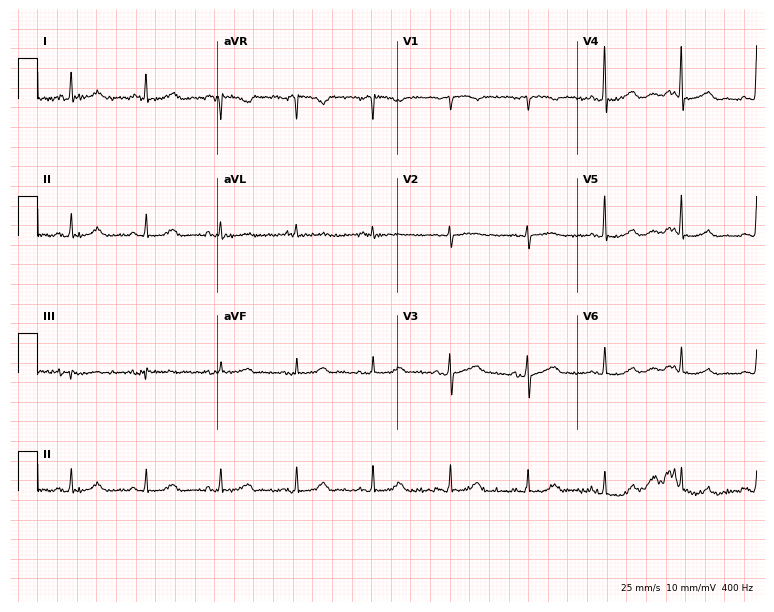
ECG — a female patient, 73 years old. Labelled as a normal ECG.